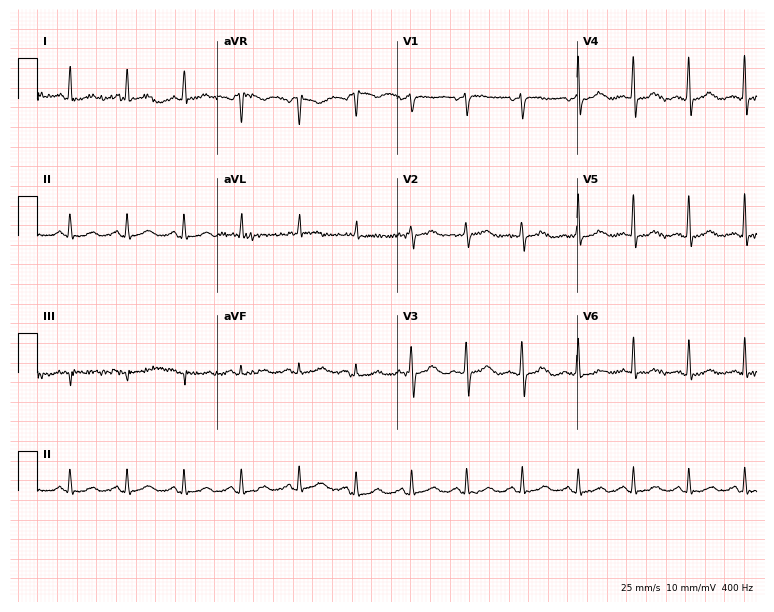
Standard 12-lead ECG recorded from a 55-year-old female. Read as a normal ECG.